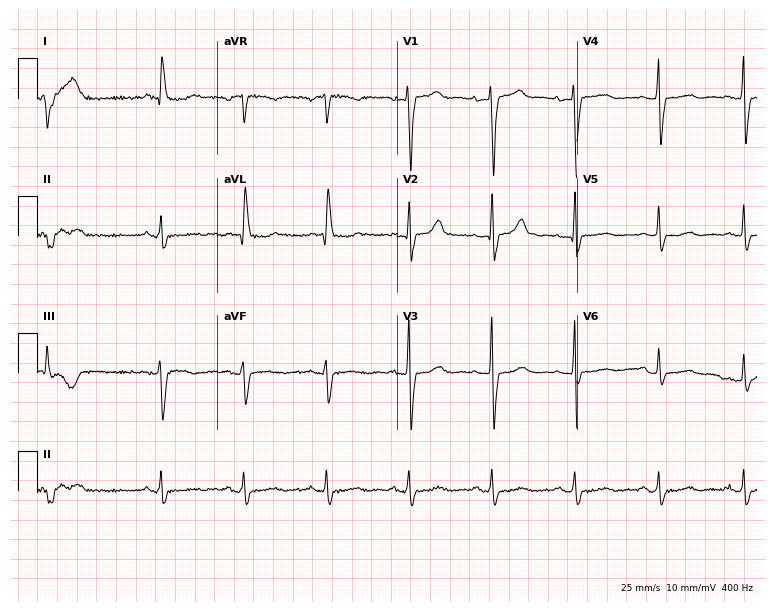
Resting 12-lead electrocardiogram (7.3-second recording at 400 Hz). Patient: a female, 78 years old. None of these six findings is recorded: first-degree AV block, right bundle branch block, left bundle branch block, sinus bradycardia, atrial fibrillation, sinus tachycardia. Findings outside these six are not listed.